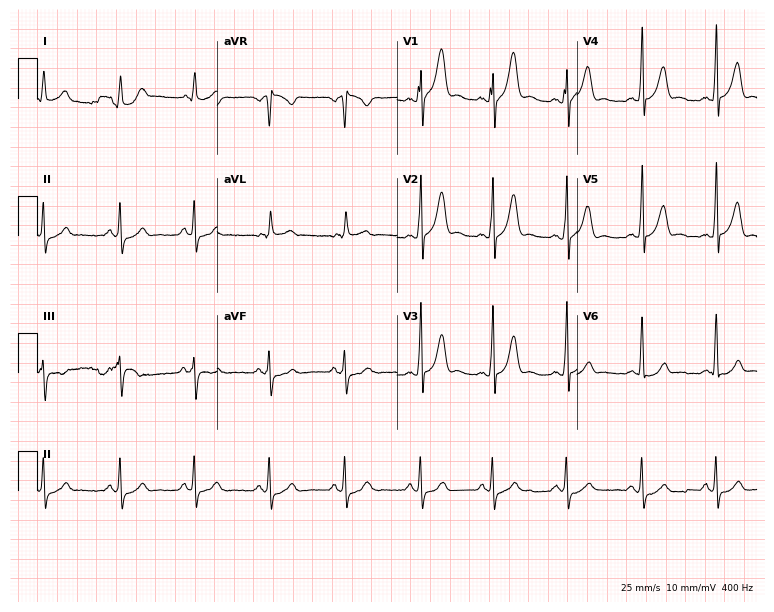
Standard 12-lead ECG recorded from a man, 33 years old (7.3-second recording at 400 Hz). Read as a normal ECG.